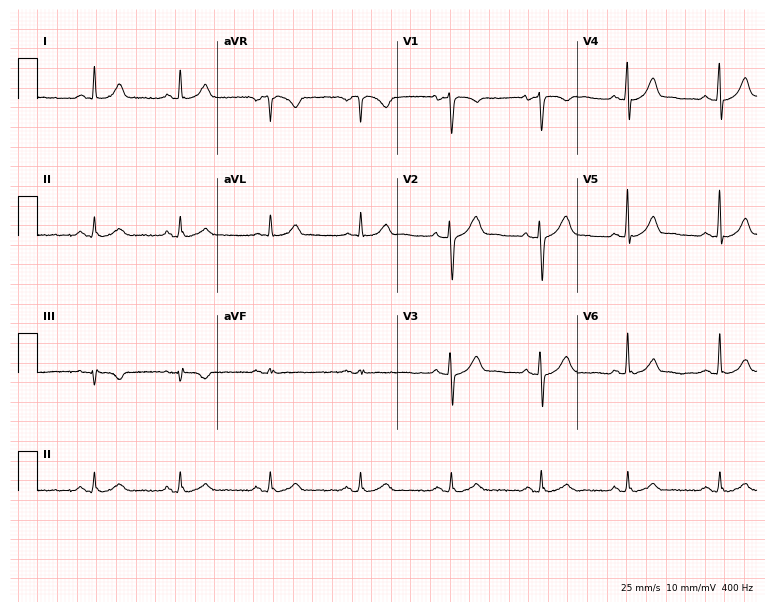
12-lead ECG from a 53-year-old man. Recorded interpretation: within normal limits.